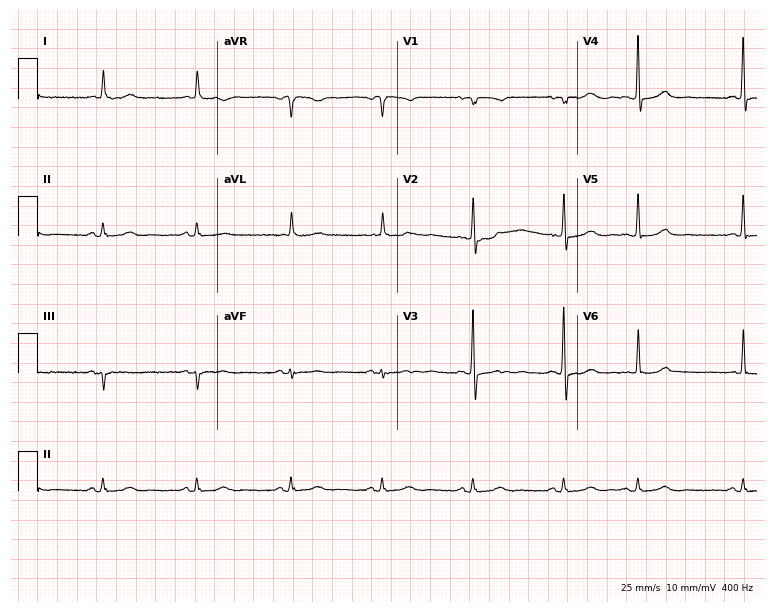
12-lead ECG from a woman, 84 years old (7.3-second recording at 400 Hz). No first-degree AV block, right bundle branch block, left bundle branch block, sinus bradycardia, atrial fibrillation or sinus tachycardia recorded for this tracing. Findings outside these six are not listed.